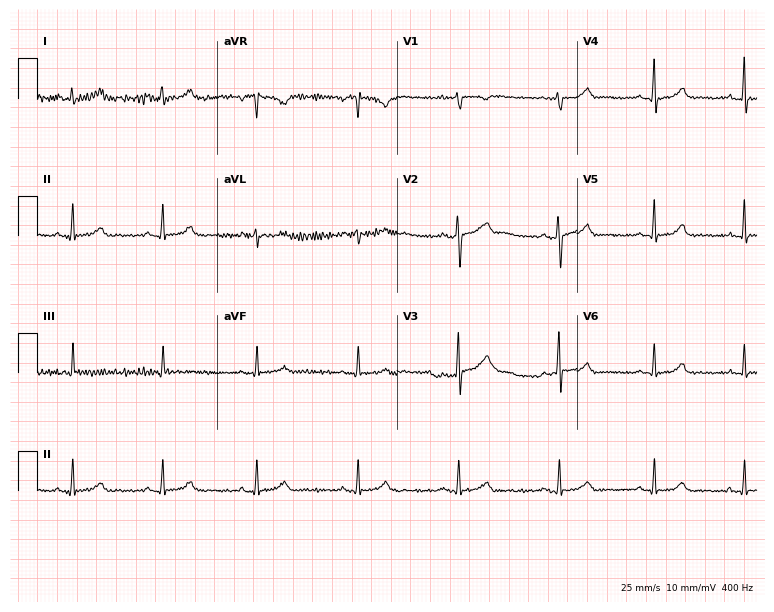
Electrocardiogram (7.3-second recording at 400 Hz), a female patient, 50 years old. Overall reading on record: normal ECG.